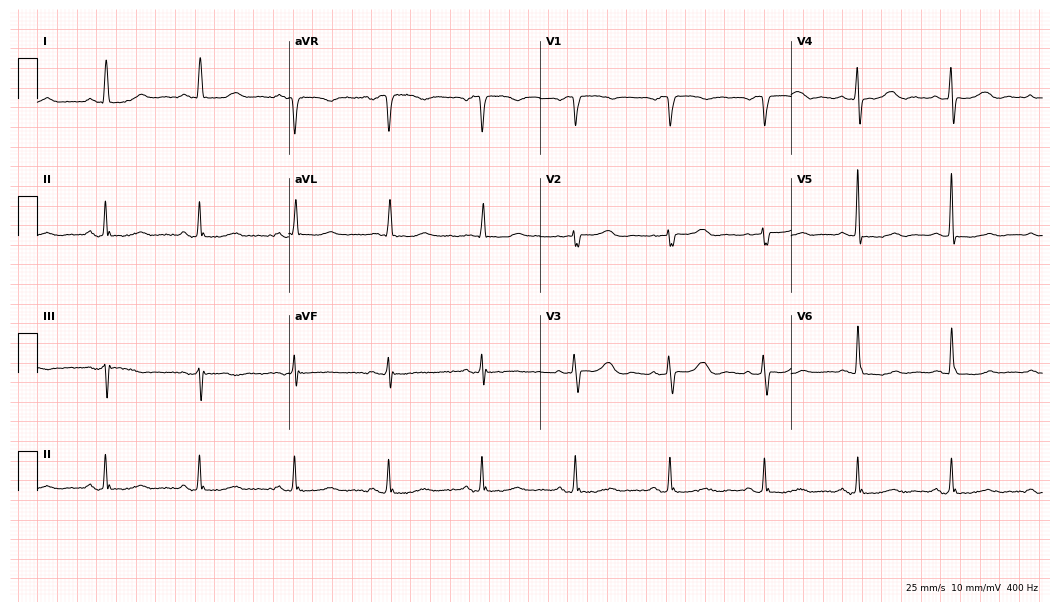
12-lead ECG from an 81-year-old female patient (10.2-second recording at 400 Hz). No first-degree AV block, right bundle branch block, left bundle branch block, sinus bradycardia, atrial fibrillation or sinus tachycardia recorded for this tracing. Only these six findings were labelled.